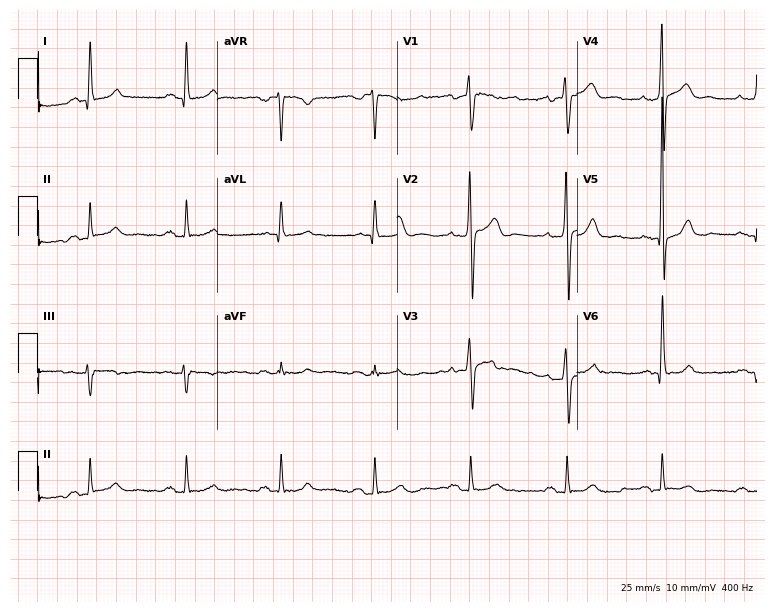
12-lead ECG from a male patient, 47 years old. No first-degree AV block, right bundle branch block, left bundle branch block, sinus bradycardia, atrial fibrillation or sinus tachycardia recorded for this tracing. Only these six findings were labelled.